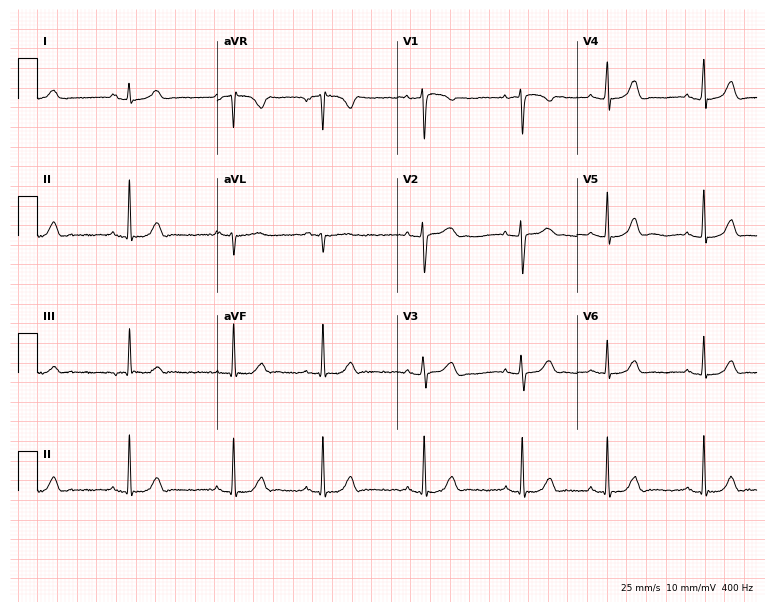
Standard 12-lead ECG recorded from a woman, 29 years old. Read as a normal ECG.